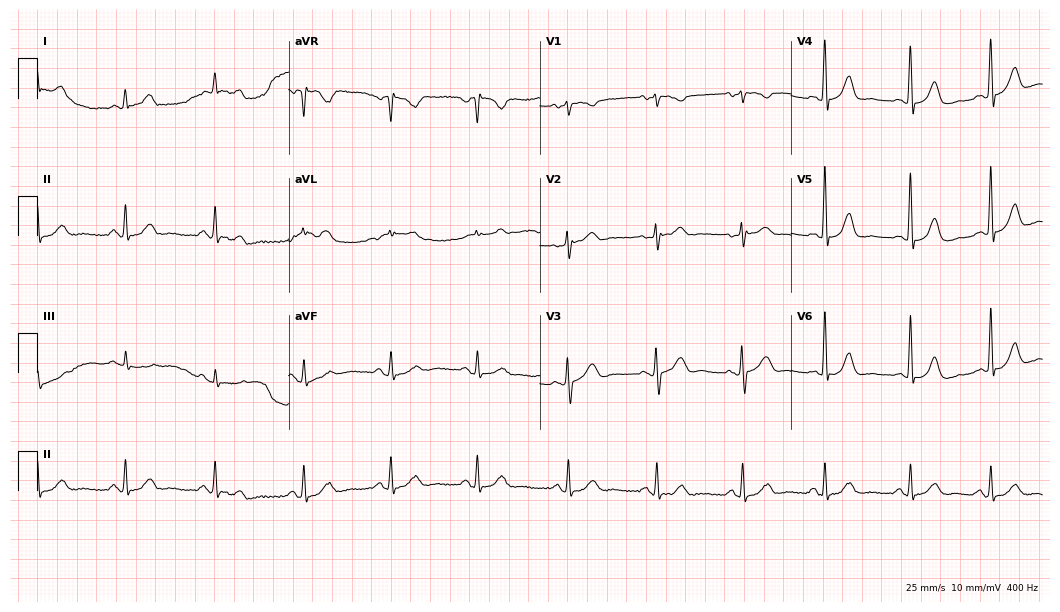
12-lead ECG from a woman, 76 years old (10.2-second recording at 400 Hz). Recorded interpretation: within normal limits.